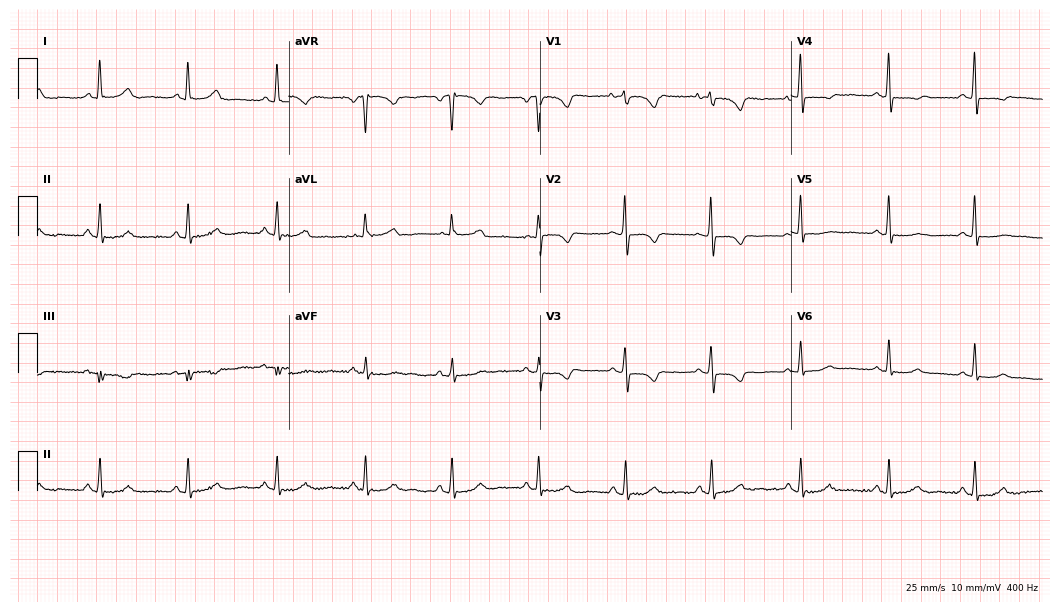
Resting 12-lead electrocardiogram (10.2-second recording at 400 Hz). Patient: a woman, 48 years old. None of these six findings is recorded: first-degree AV block, right bundle branch block, left bundle branch block, sinus bradycardia, atrial fibrillation, sinus tachycardia. Other findings, if any, are not listed.